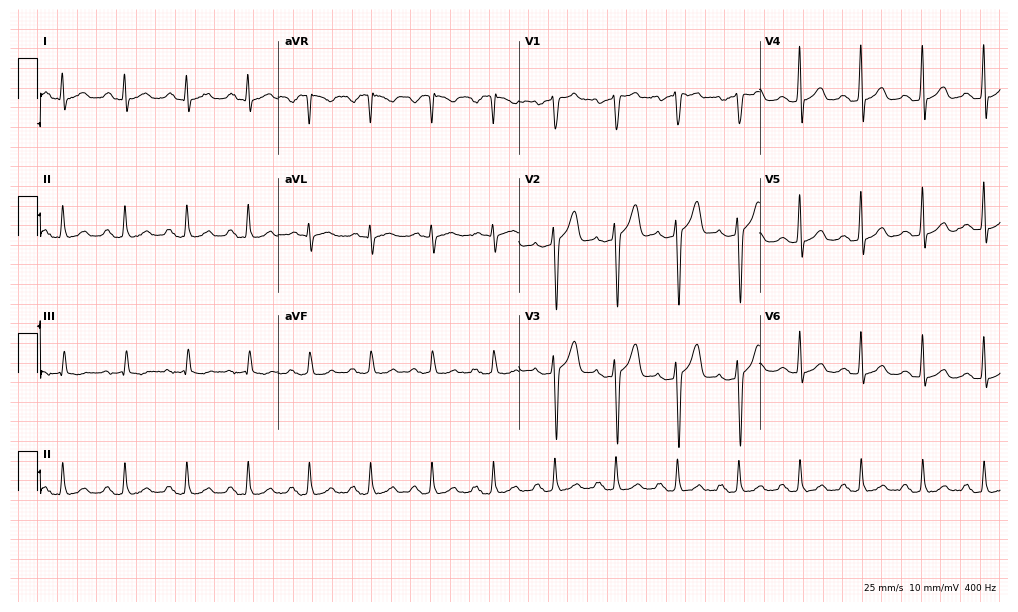
12-lead ECG from a man, 61 years old. Shows first-degree AV block.